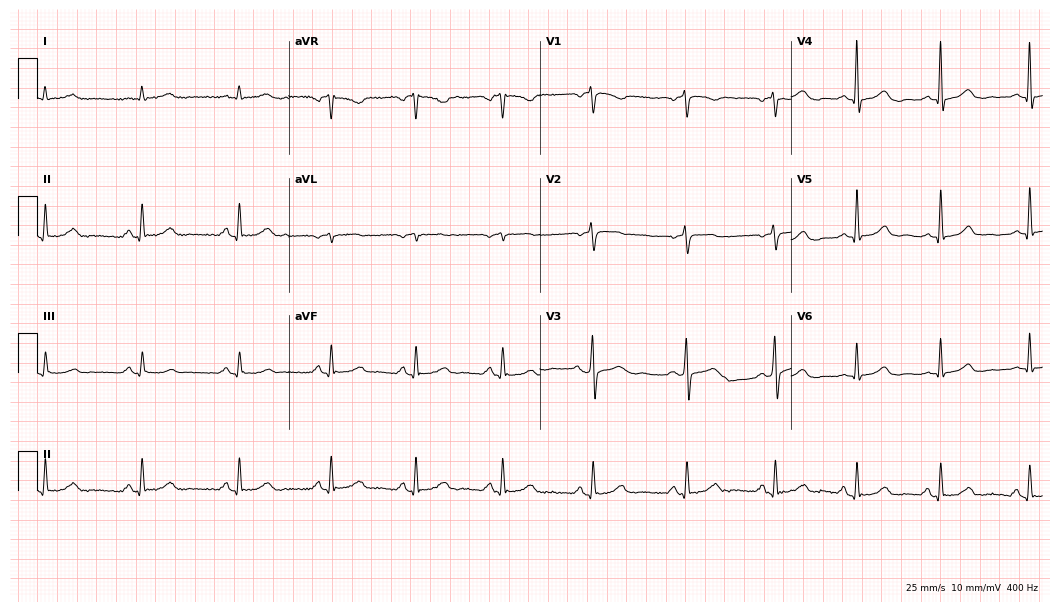
Electrocardiogram, a female patient, 41 years old. Of the six screened findings (first-degree AV block, right bundle branch block, left bundle branch block, sinus bradycardia, atrial fibrillation, sinus tachycardia), none is recorded.